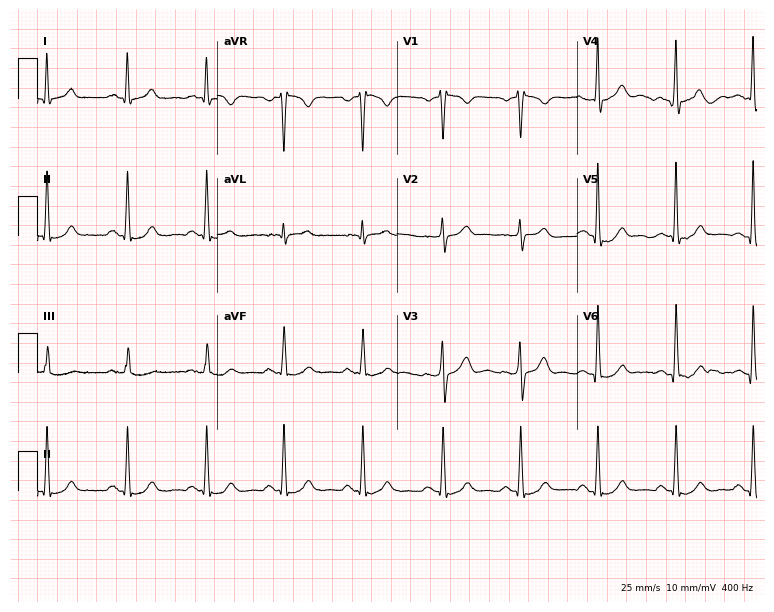
12-lead ECG from a male, 43 years old. Screened for six findings — first-degree AV block, right bundle branch block, left bundle branch block, sinus bradycardia, atrial fibrillation, sinus tachycardia — none is recorded. Other findings, if any, are not listed.